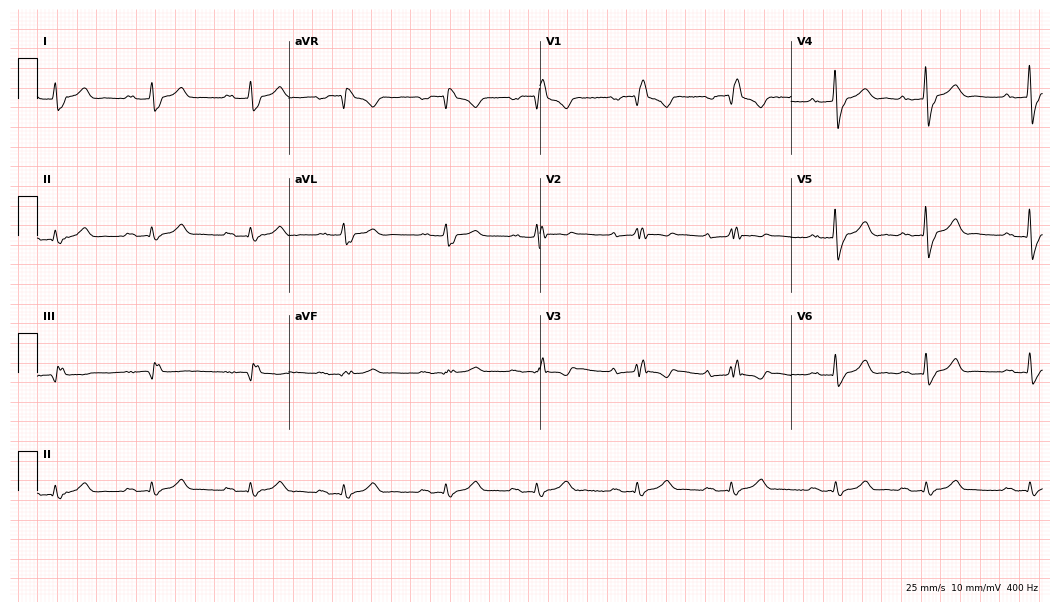
Electrocardiogram (10.2-second recording at 400 Hz), a woman, 71 years old. Interpretation includes first-degree AV block, right bundle branch block (RBBB).